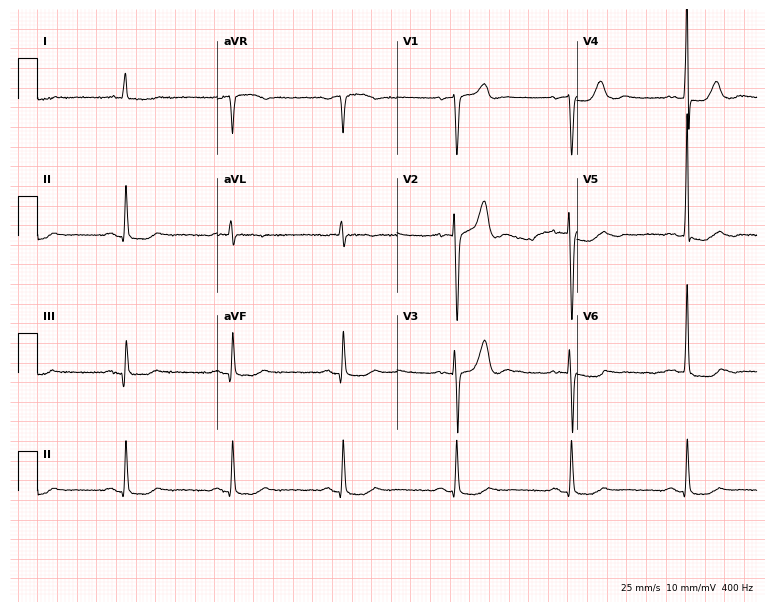
12-lead ECG (7.3-second recording at 400 Hz) from a female patient, 79 years old. Screened for six findings — first-degree AV block, right bundle branch block, left bundle branch block, sinus bradycardia, atrial fibrillation, sinus tachycardia — none is recorded.